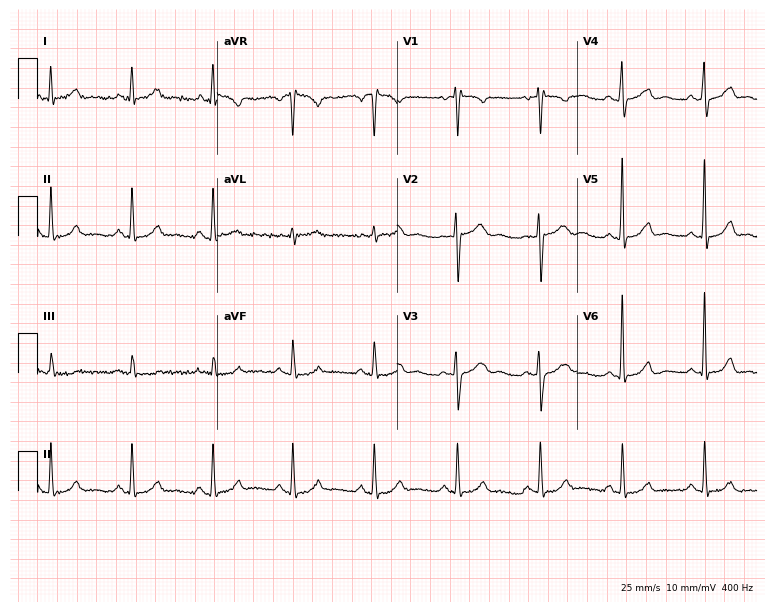
Resting 12-lead electrocardiogram. Patient: a female, 48 years old. None of these six findings is recorded: first-degree AV block, right bundle branch block, left bundle branch block, sinus bradycardia, atrial fibrillation, sinus tachycardia.